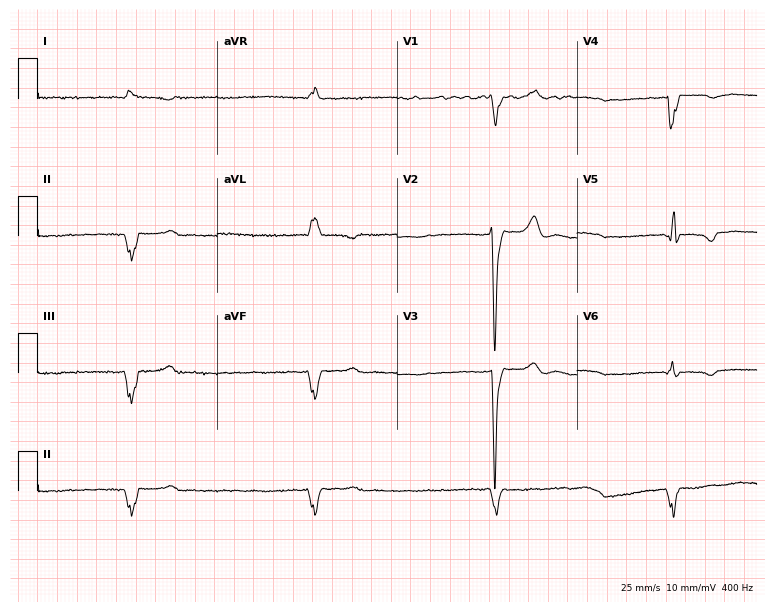
Electrocardiogram (7.3-second recording at 400 Hz), a 68-year-old man. Interpretation includes right bundle branch block, atrial fibrillation.